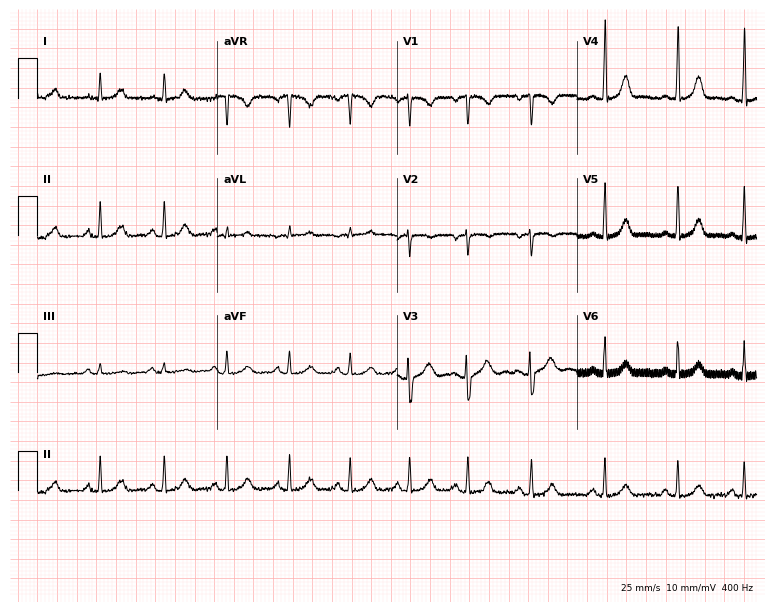
Electrocardiogram (7.3-second recording at 400 Hz), a woman, 29 years old. Overall reading on record: normal ECG.